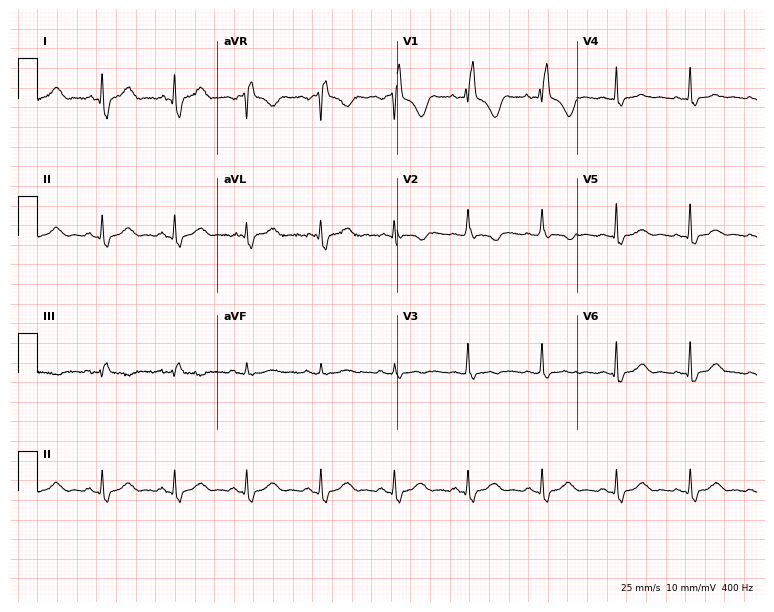
Resting 12-lead electrocardiogram (7.3-second recording at 400 Hz). Patient: a 36-year-old female. The tracing shows right bundle branch block.